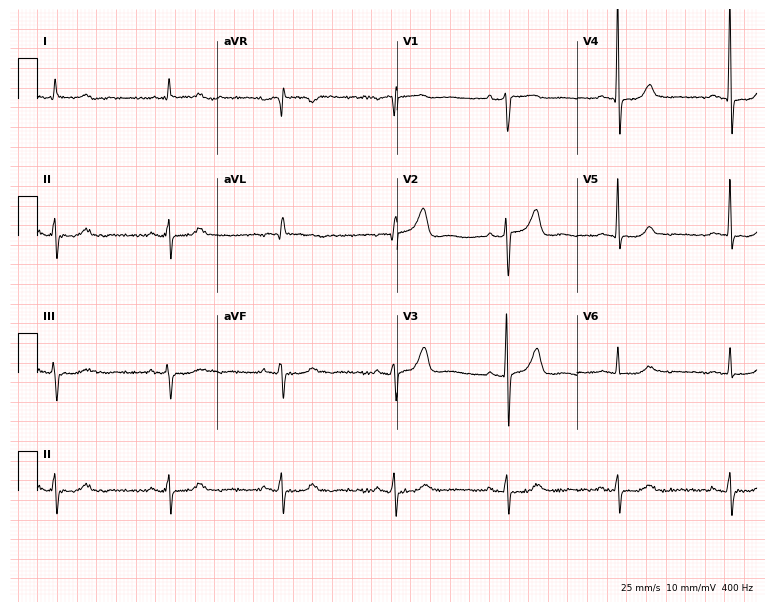
12-lead ECG from a male, 83 years old. Screened for six findings — first-degree AV block, right bundle branch block (RBBB), left bundle branch block (LBBB), sinus bradycardia, atrial fibrillation (AF), sinus tachycardia — none is recorded.